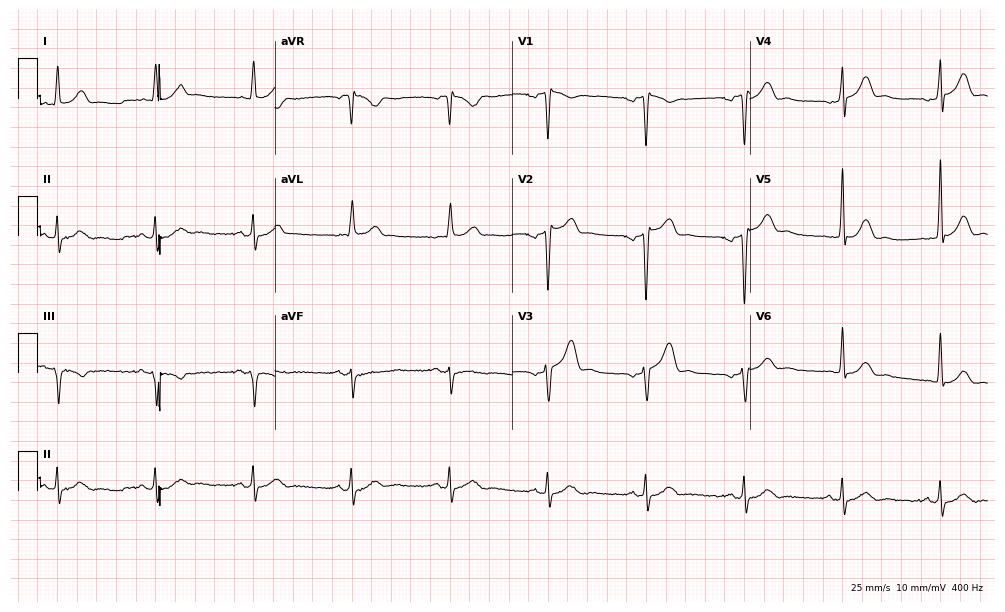
12-lead ECG from a 42-year-old man. Screened for six findings — first-degree AV block, right bundle branch block, left bundle branch block, sinus bradycardia, atrial fibrillation, sinus tachycardia — none is recorded.